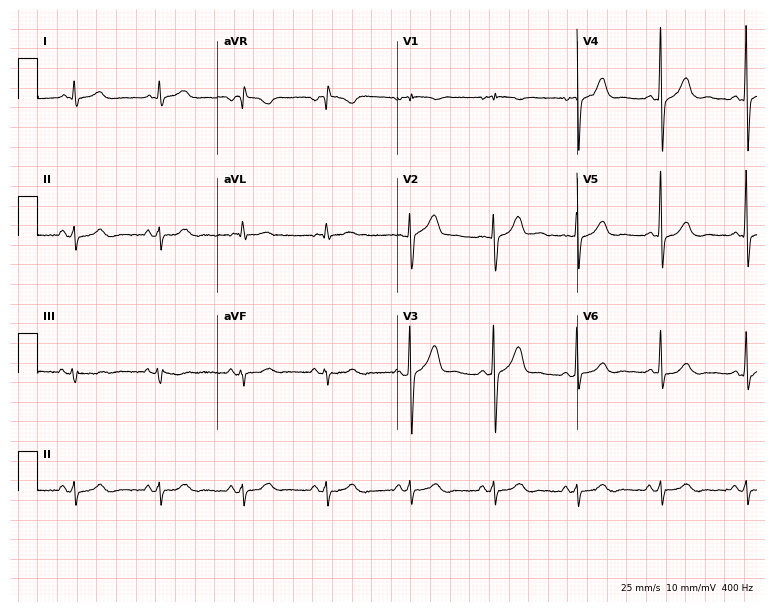
12-lead ECG from a 60-year-old male patient (7.3-second recording at 400 Hz). No first-degree AV block, right bundle branch block (RBBB), left bundle branch block (LBBB), sinus bradycardia, atrial fibrillation (AF) or sinus tachycardia recorded for this tracing.